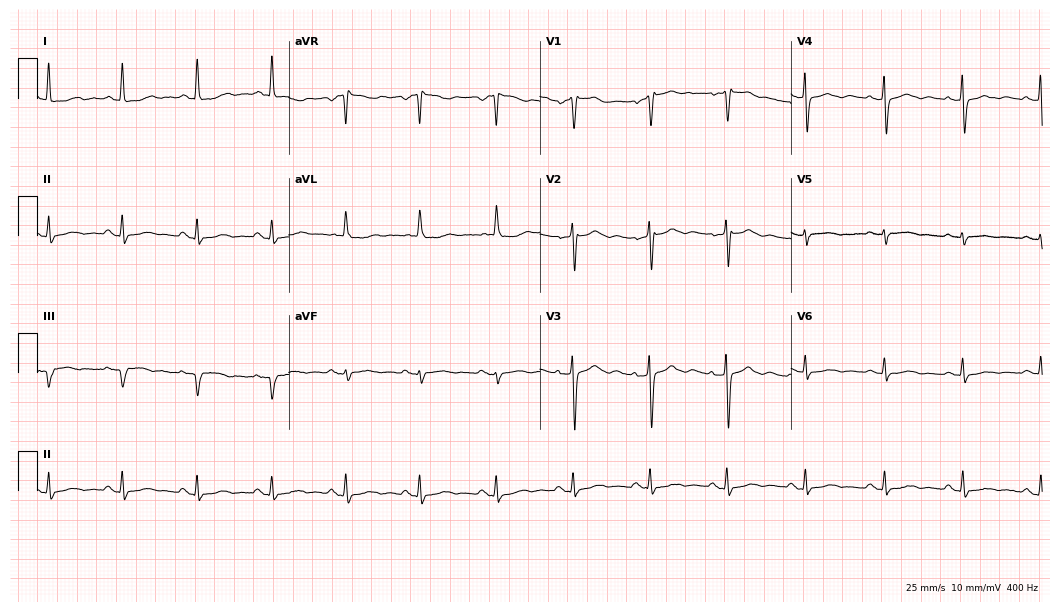
12-lead ECG (10.2-second recording at 400 Hz) from a female patient, 73 years old. Screened for six findings — first-degree AV block, right bundle branch block (RBBB), left bundle branch block (LBBB), sinus bradycardia, atrial fibrillation (AF), sinus tachycardia — none is recorded. Other findings, if any, are not listed.